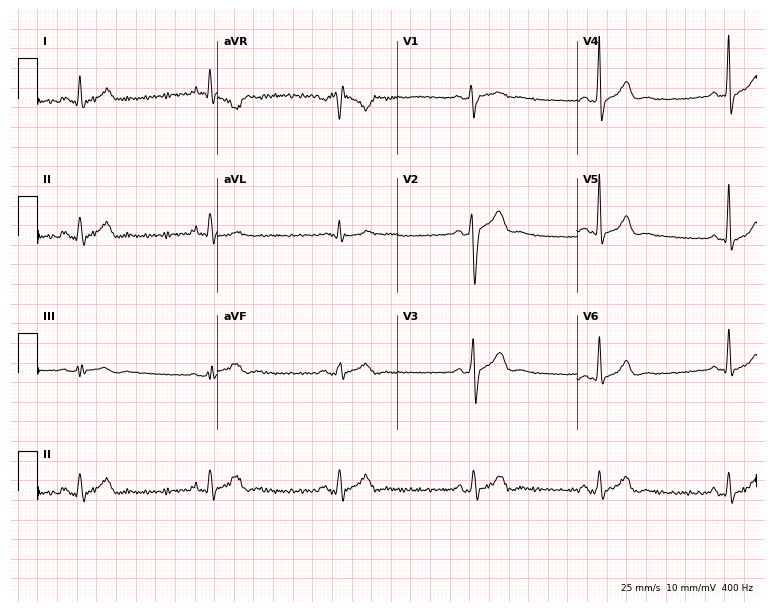
Standard 12-lead ECG recorded from a 36-year-old male. The tracing shows sinus bradycardia (a sinus rate of 50 beats per minute or less).